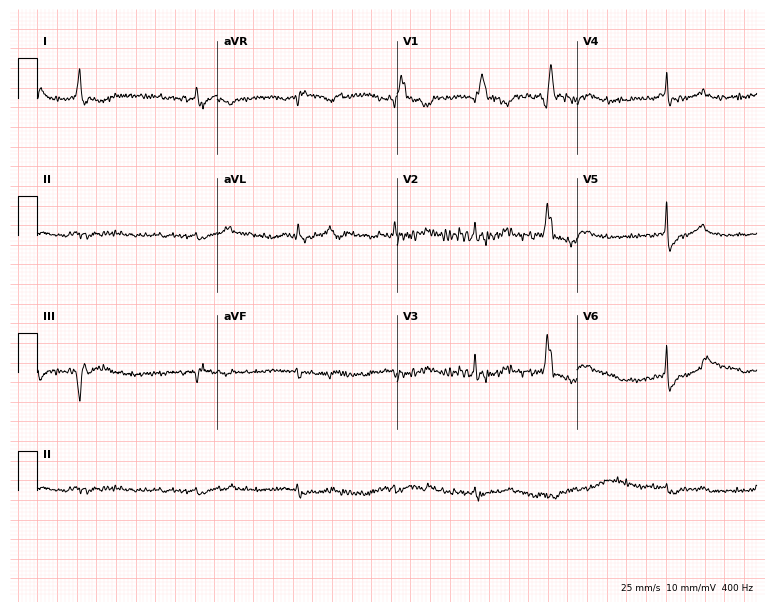
ECG — a male patient, 84 years old. Screened for six findings — first-degree AV block, right bundle branch block (RBBB), left bundle branch block (LBBB), sinus bradycardia, atrial fibrillation (AF), sinus tachycardia — none is recorded.